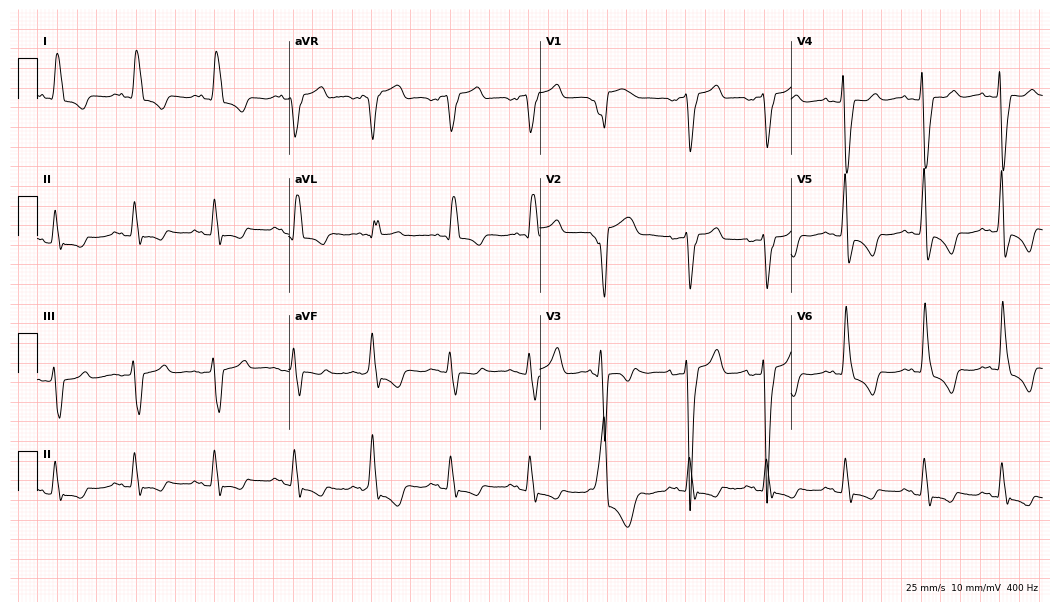
12-lead ECG from a woman, 79 years old. Shows left bundle branch block.